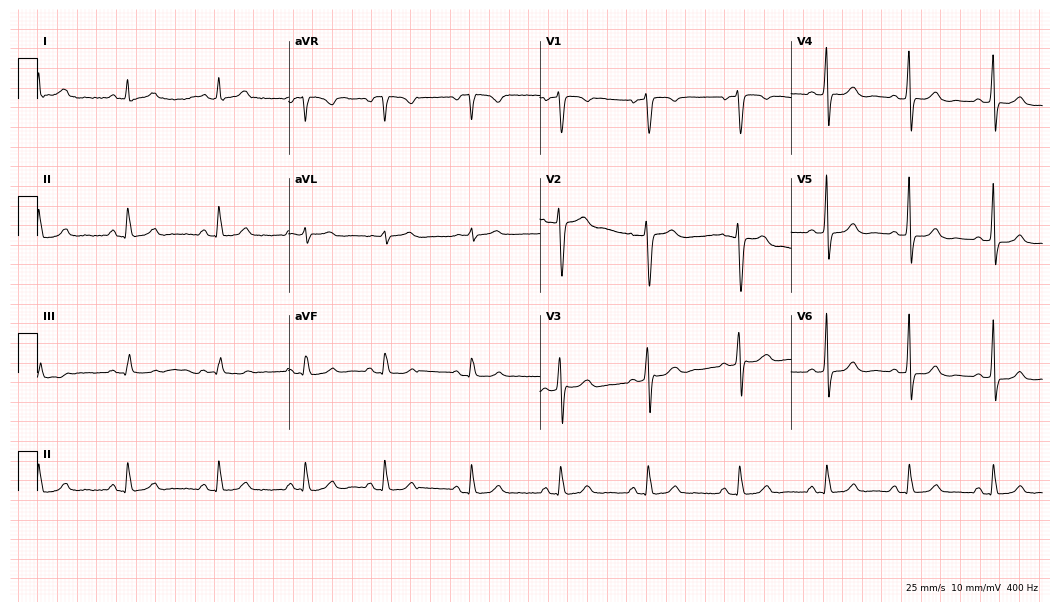
Electrocardiogram, a male patient, 55 years old. Of the six screened findings (first-degree AV block, right bundle branch block (RBBB), left bundle branch block (LBBB), sinus bradycardia, atrial fibrillation (AF), sinus tachycardia), none is recorded. Other findings, if any, are not listed.